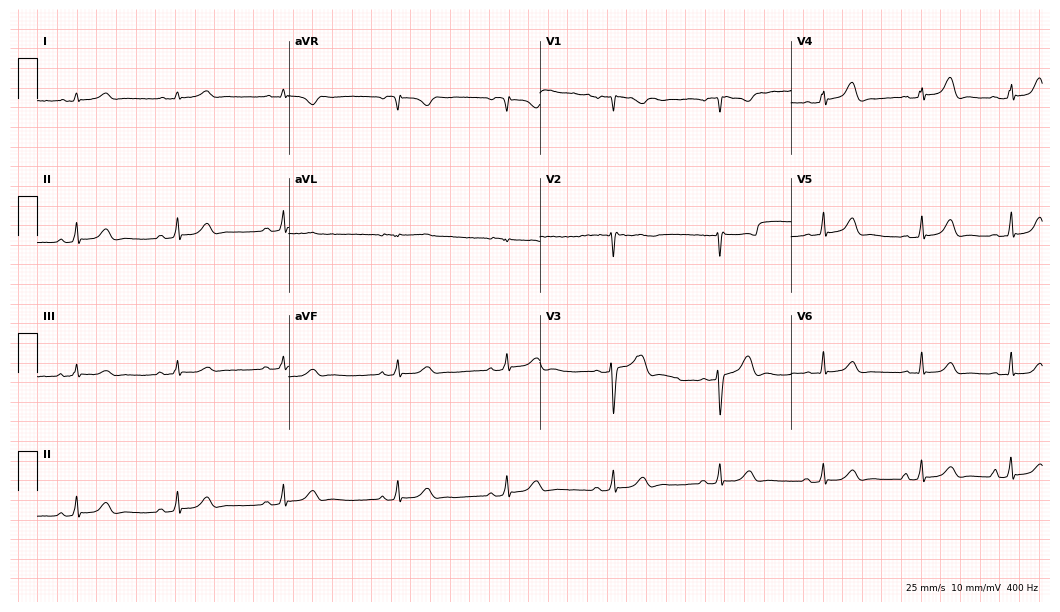
Standard 12-lead ECG recorded from a female, 25 years old. Read as a normal ECG.